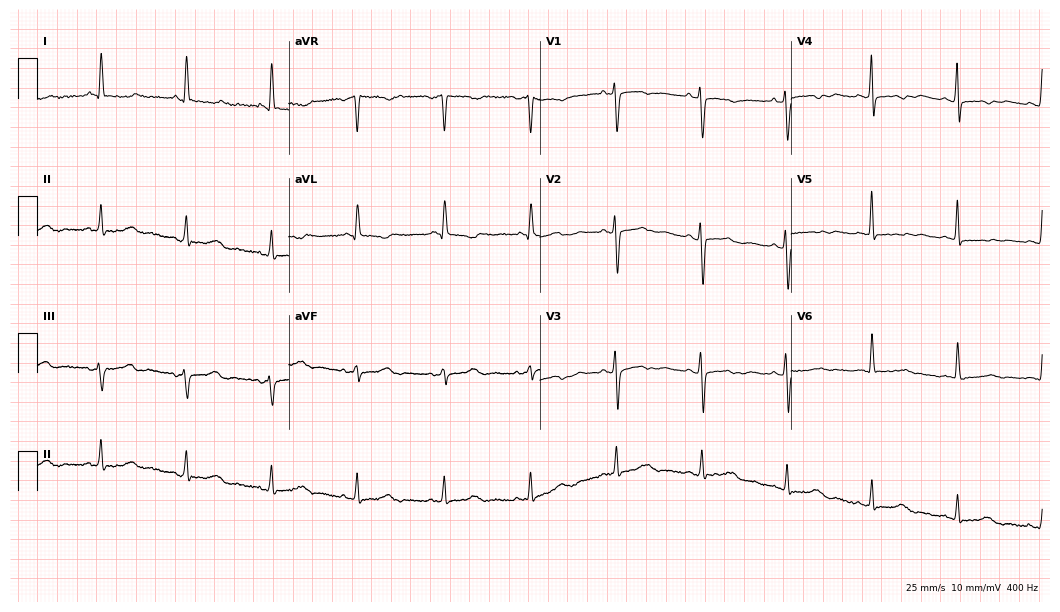
Standard 12-lead ECG recorded from a female patient, 61 years old (10.2-second recording at 400 Hz). Read as a normal ECG.